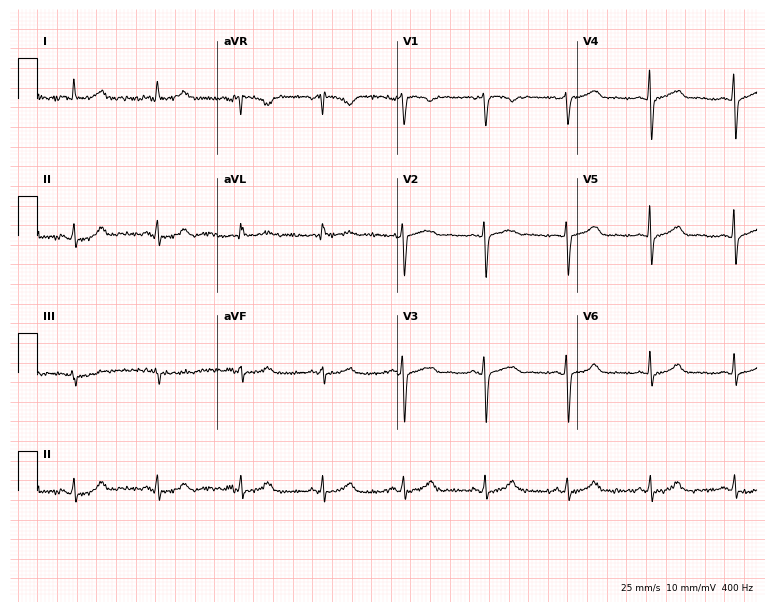
Standard 12-lead ECG recorded from a female patient, 43 years old. Read as a normal ECG.